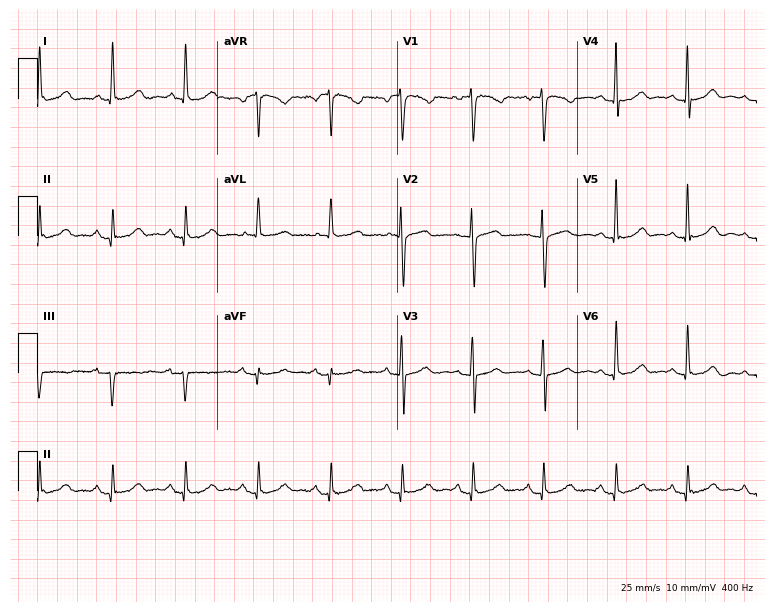
12-lead ECG from a 52-year-old female patient. Recorded interpretation: within normal limits.